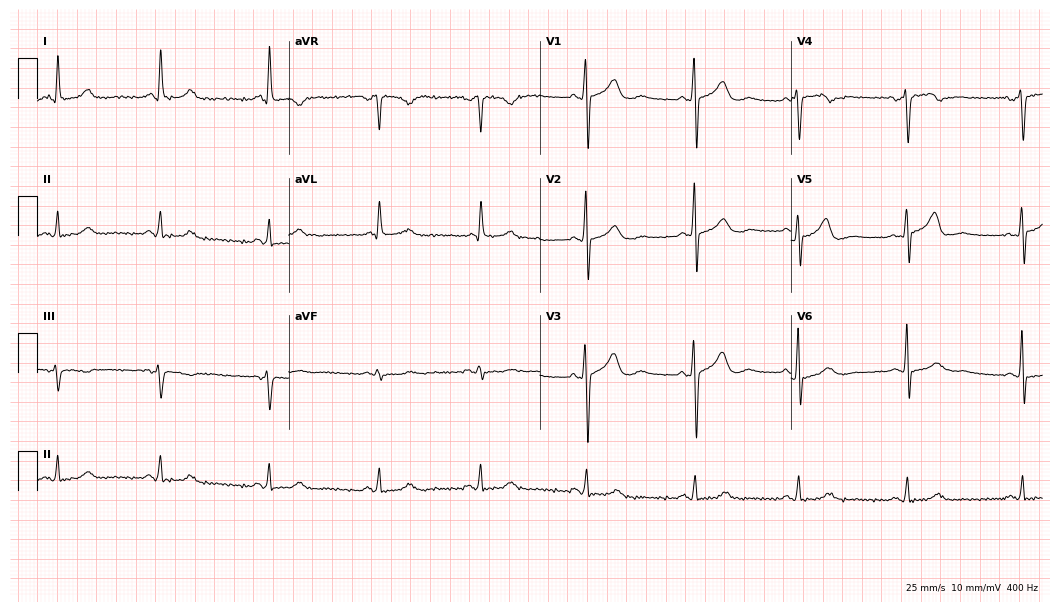
Electrocardiogram (10.2-second recording at 400 Hz), a 51-year-old male. Overall reading on record: normal ECG.